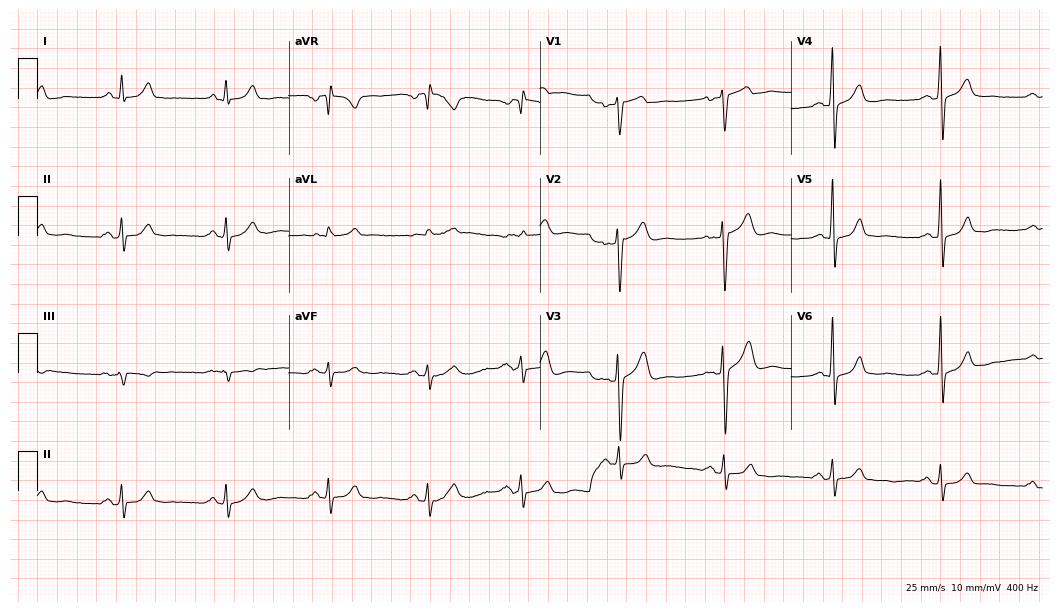
12-lead ECG (10.2-second recording at 400 Hz) from a 45-year-old male patient. Labelled as a normal ECG.